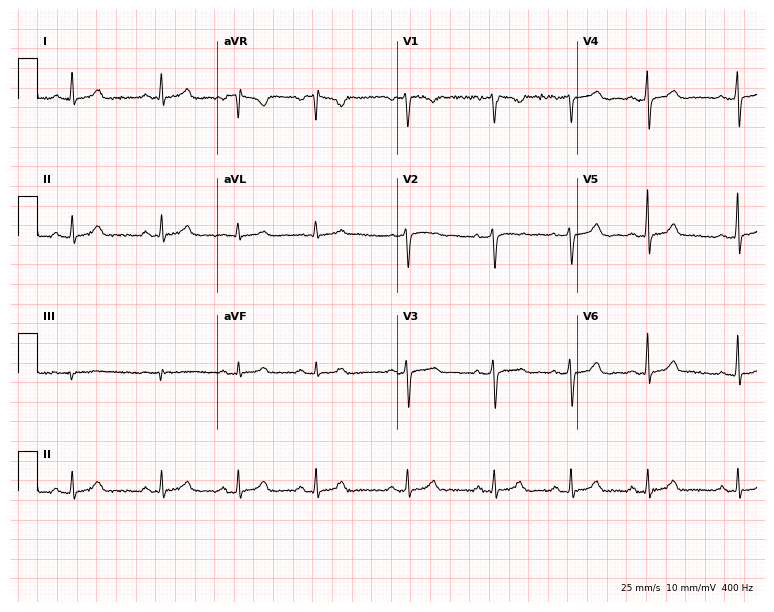
12-lead ECG from a female patient, 31 years old. Labelled as a normal ECG.